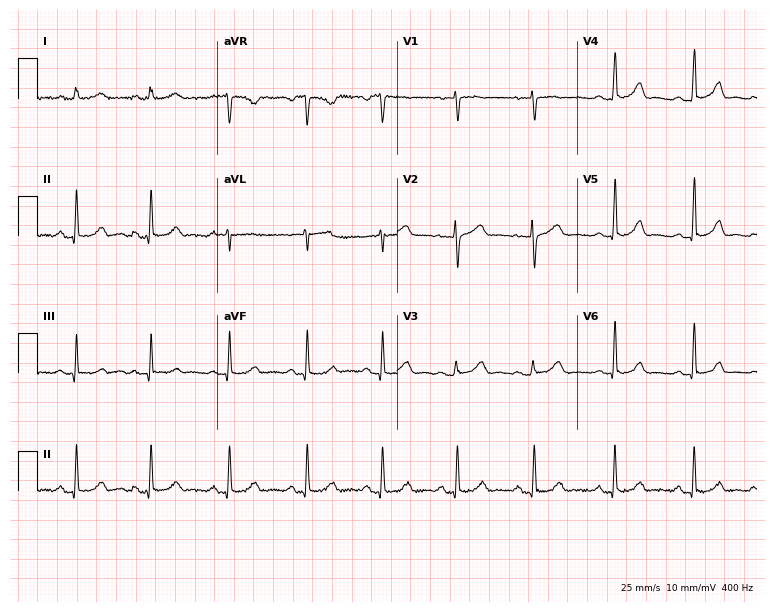
Resting 12-lead electrocardiogram. Patient: a female, 34 years old. Read as a normal ECG.